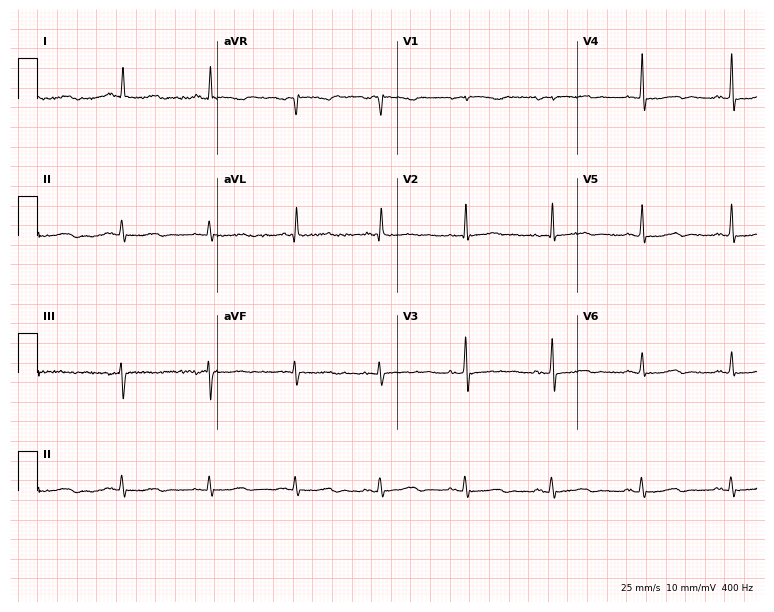
12-lead ECG (7.3-second recording at 400 Hz) from a 74-year-old female patient. Screened for six findings — first-degree AV block, right bundle branch block, left bundle branch block, sinus bradycardia, atrial fibrillation, sinus tachycardia — none is recorded. Only these six findings were labelled.